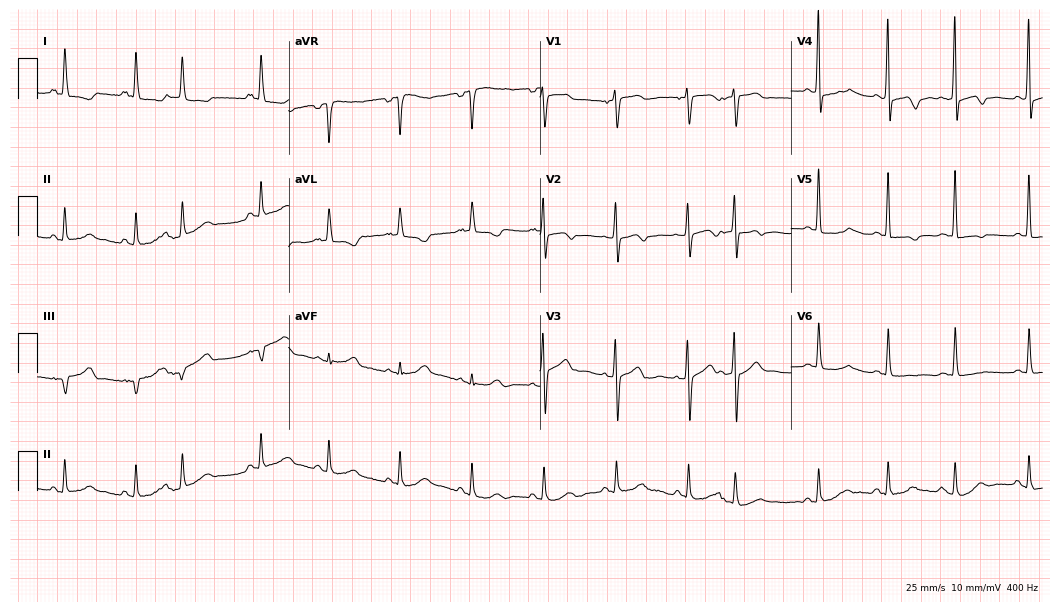
Resting 12-lead electrocardiogram. Patient: a woman, 79 years old. None of these six findings is recorded: first-degree AV block, right bundle branch block (RBBB), left bundle branch block (LBBB), sinus bradycardia, atrial fibrillation (AF), sinus tachycardia. Findings outside these six are not listed.